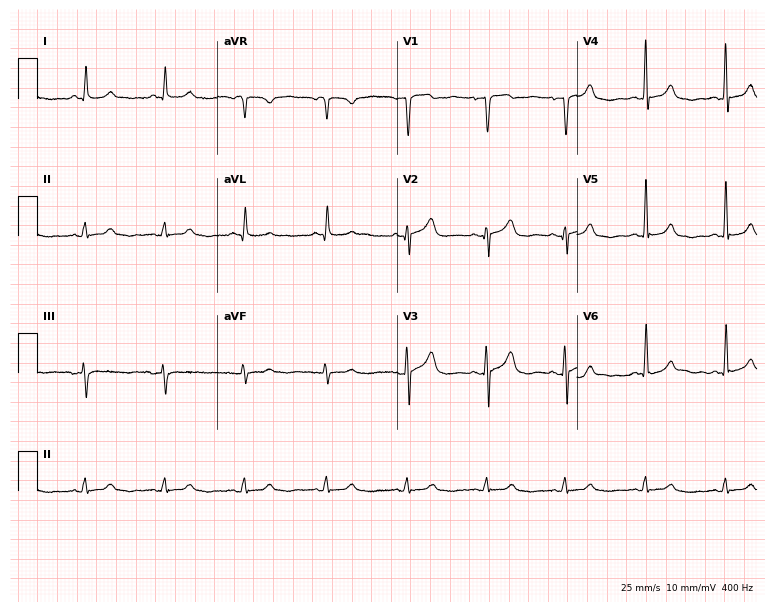
Electrocardiogram, a 79-year-old male patient. Of the six screened findings (first-degree AV block, right bundle branch block (RBBB), left bundle branch block (LBBB), sinus bradycardia, atrial fibrillation (AF), sinus tachycardia), none is recorded.